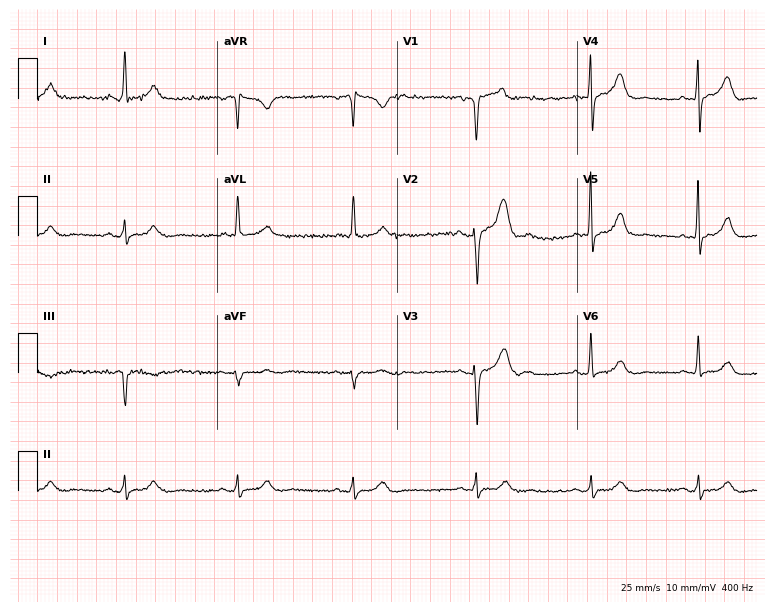
12-lead ECG from a man, 64 years old. Recorded interpretation: within normal limits.